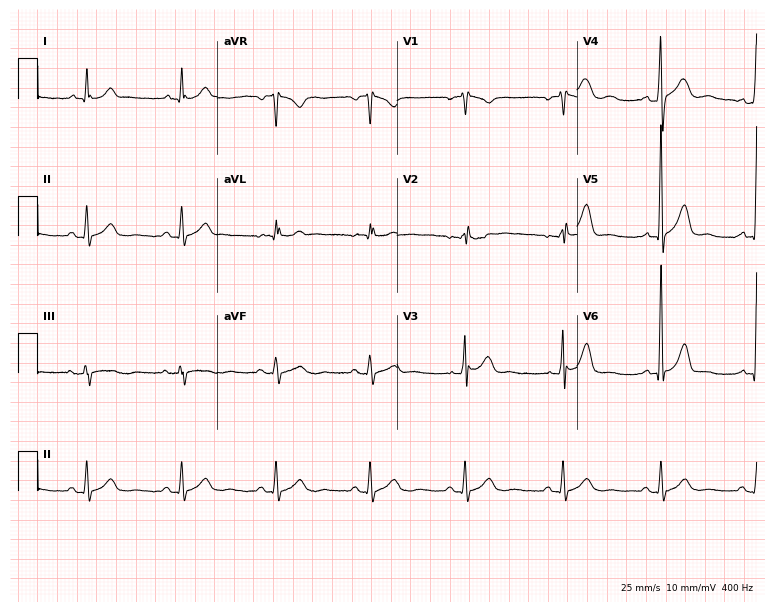
12-lead ECG from a man, 41 years old (7.3-second recording at 400 Hz). Recorded interpretation: within normal limits.